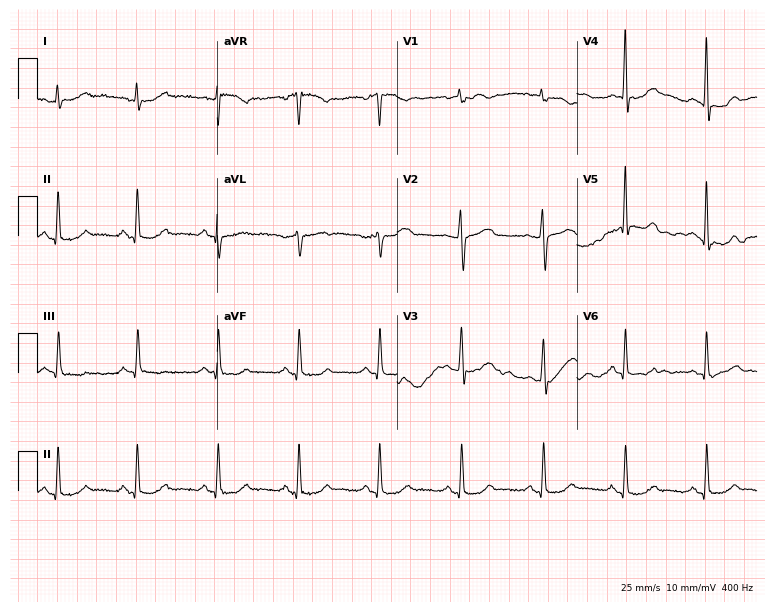
Resting 12-lead electrocardiogram (7.3-second recording at 400 Hz). Patient: a female, 52 years old. Read as a normal ECG.